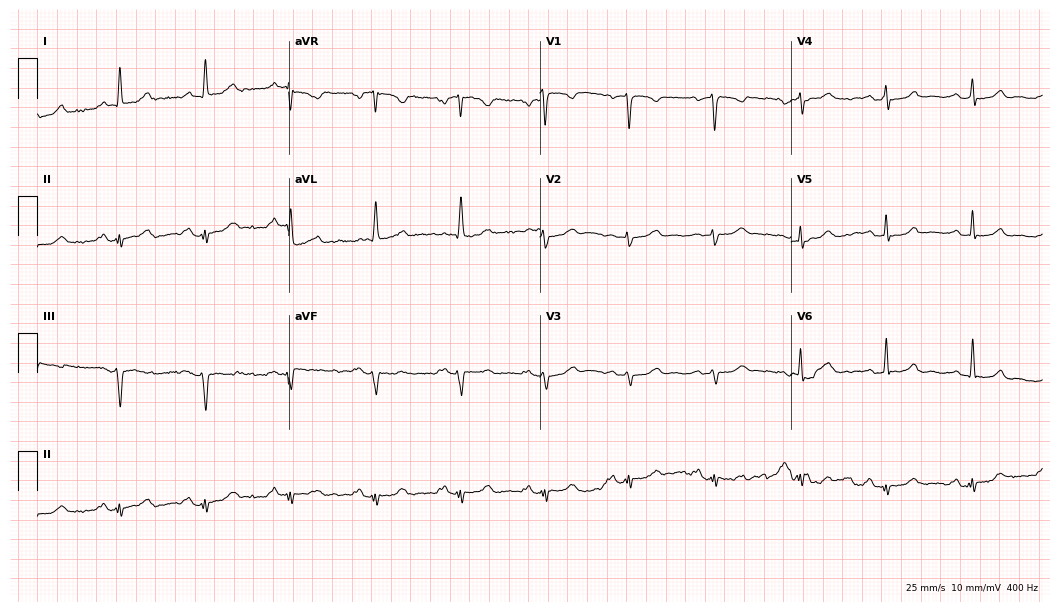
12-lead ECG from a 68-year-old female (10.2-second recording at 400 Hz). No first-degree AV block, right bundle branch block (RBBB), left bundle branch block (LBBB), sinus bradycardia, atrial fibrillation (AF) or sinus tachycardia recorded for this tracing.